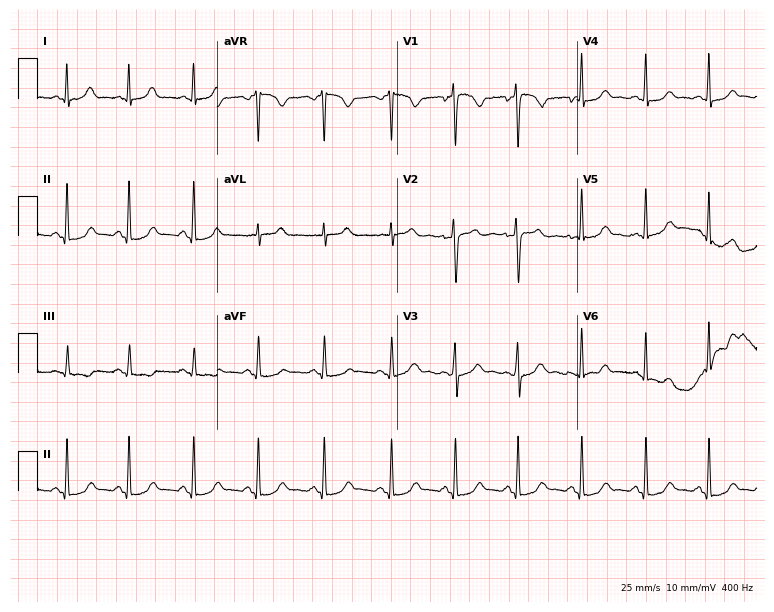
ECG (7.3-second recording at 400 Hz) — a female patient, 24 years old. Labelled as a normal ECG.